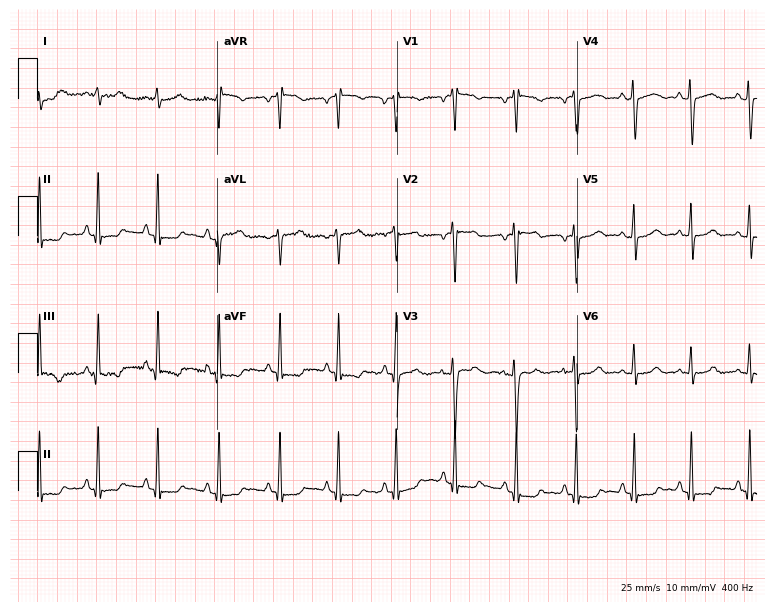
ECG (7.3-second recording at 400 Hz) — a 21-year-old female patient. Screened for six findings — first-degree AV block, right bundle branch block, left bundle branch block, sinus bradycardia, atrial fibrillation, sinus tachycardia — none is recorded. Other findings, if any, are not listed.